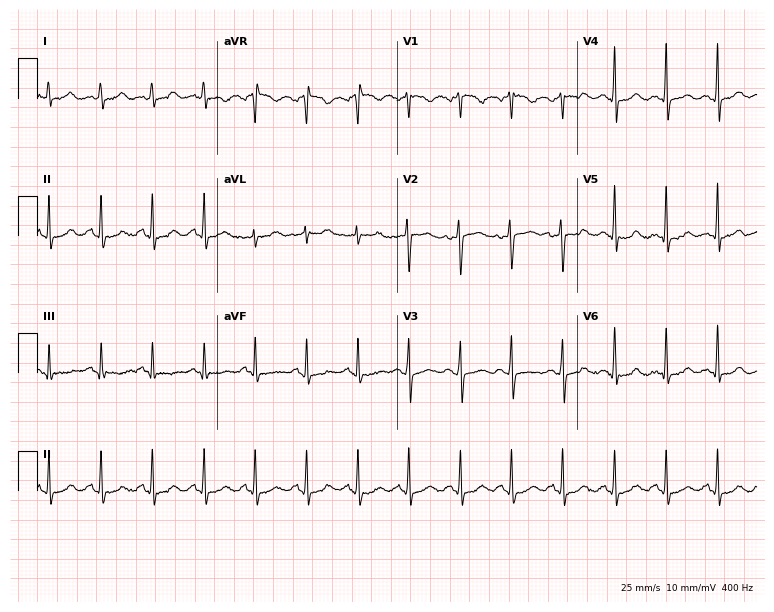
Resting 12-lead electrocardiogram (7.3-second recording at 400 Hz). Patient: a female, 20 years old. The tracing shows sinus tachycardia (a sinus rate of 100 beats per minute or more).